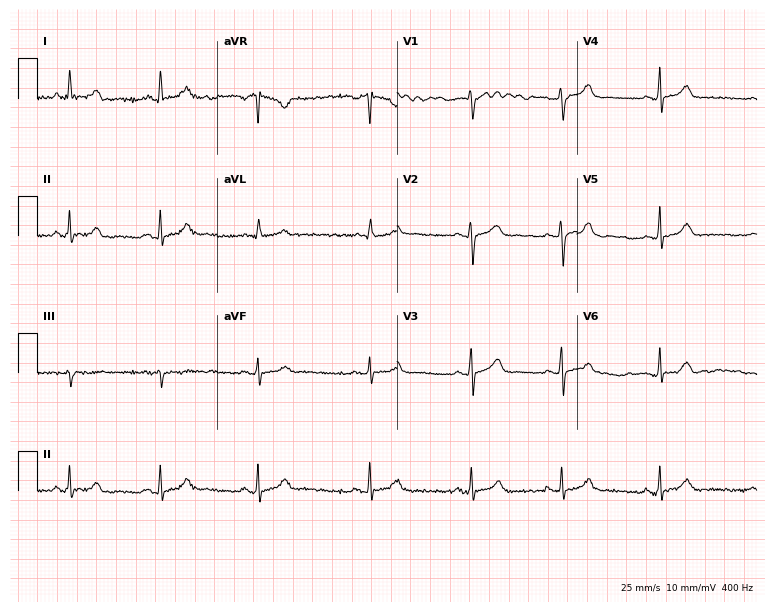
12-lead ECG from a 33-year-old woman. Recorded interpretation: within normal limits.